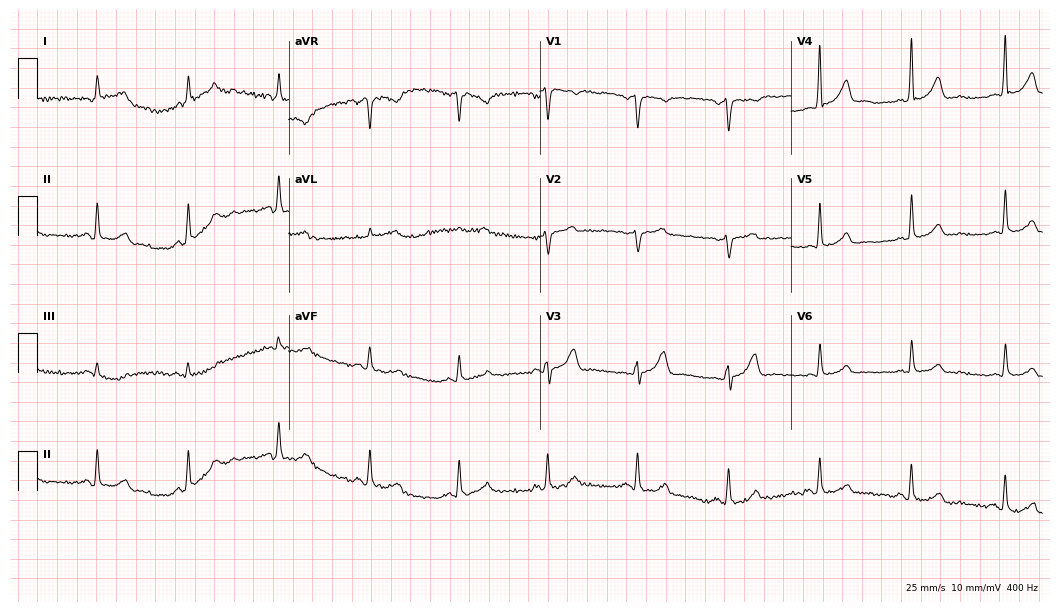
12-lead ECG from a male, 59 years old (10.2-second recording at 400 Hz). Recorded interpretation: within normal limits.